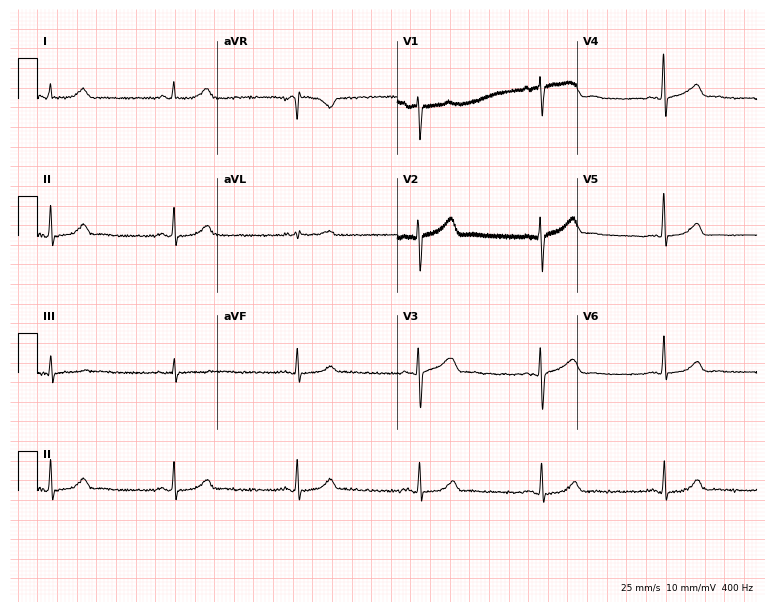
12-lead ECG (7.3-second recording at 400 Hz) from a female, 63 years old. Findings include sinus bradycardia (a sinus rate of 50 beats per minute or less).